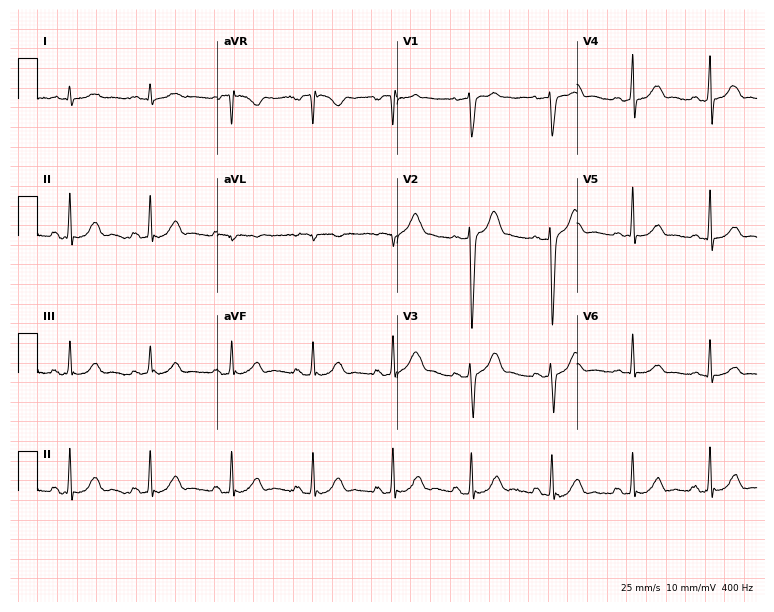
12-lead ECG from a woman, 59 years old (7.3-second recording at 400 Hz). No first-degree AV block, right bundle branch block (RBBB), left bundle branch block (LBBB), sinus bradycardia, atrial fibrillation (AF) or sinus tachycardia recorded for this tracing.